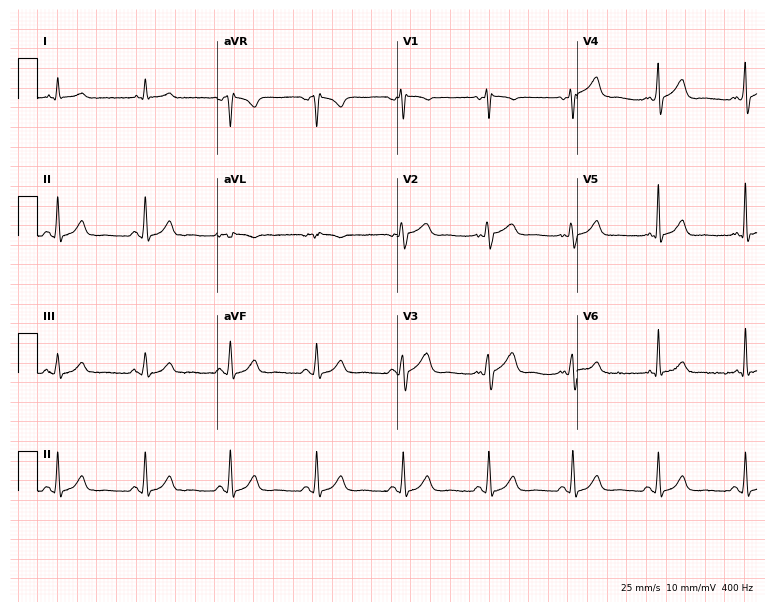
Electrocardiogram, a 52-year-old man. Overall reading on record: normal ECG.